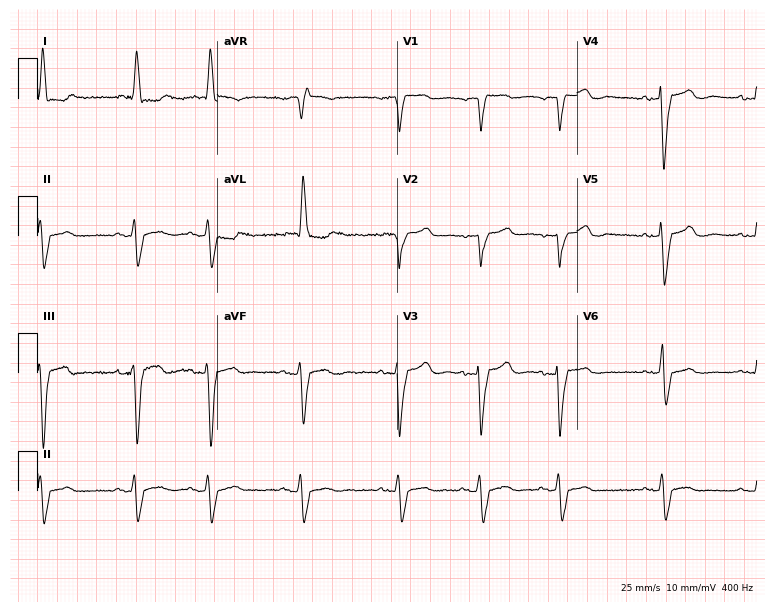
Electrocardiogram (7.3-second recording at 400 Hz), an 83-year-old female patient. Interpretation includes left bundle branch block.